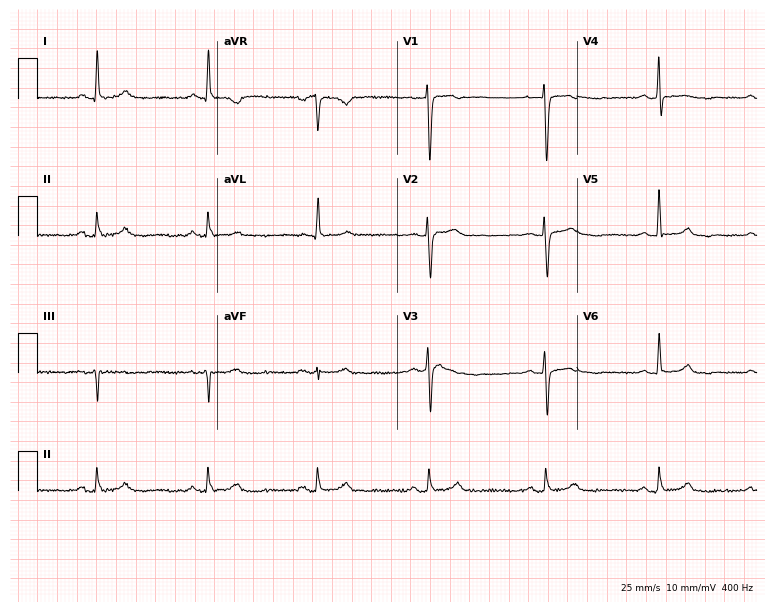
Resting 12-lead electrocardiogram. Patient: a female, 68 years old. None of these six findings is recorded: first-degree AV block, right bundle branch block, left bundle branch block, sinus bradycardia, atrial fibrillation, sinus tachycardia. Other findings, if any, are not listed.